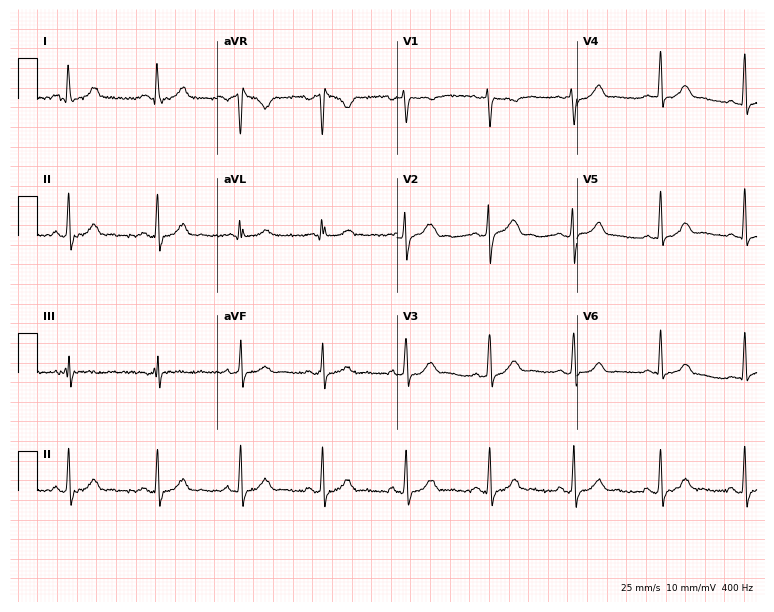
12-lead ECG from a male, 36 years old (7.3-second recording at 400 Hz). No first-degree AV block, right bundle branch block, left bundle branch block, sinus bradycardia, atrial fibrillation or sinus tachycardia recorded for this tracing.